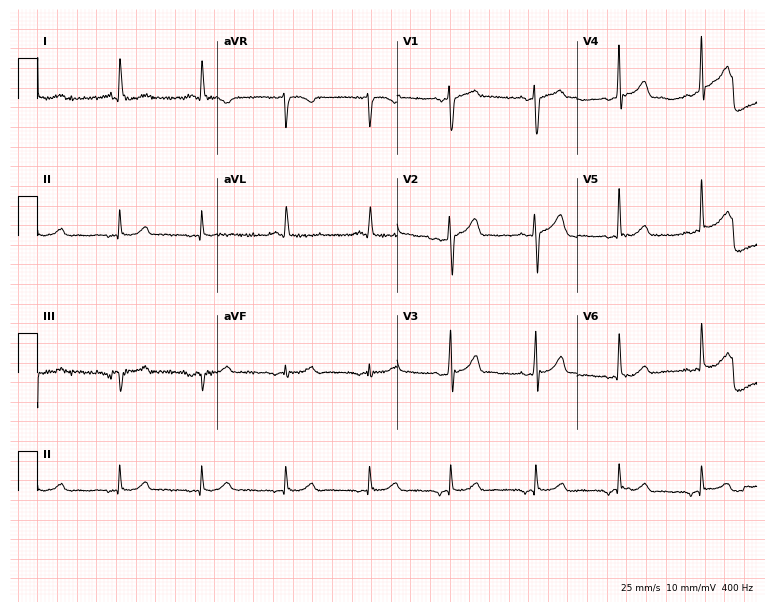
Electrocardiogram (7.3-second recording at 400 Hz), a male, 59 years old. Of the six screened findings (first-degree AV block, right bundle branch block, left bundle branch block, sinus bradycardia, atrial fibrillation, sinus tachycardia), none is recorded.